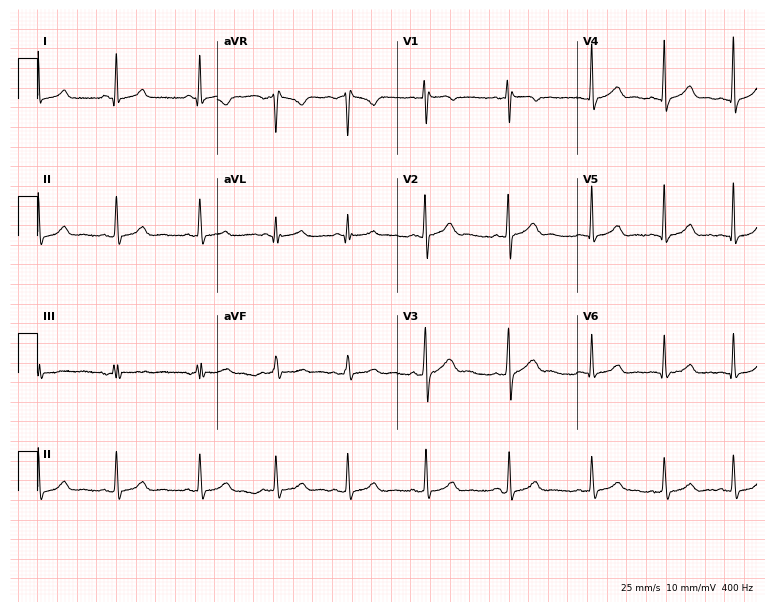
12-lead ECG (7.3-second recording at 400 Hz) from a 21-year-old female. Labelled as a normal ECG.